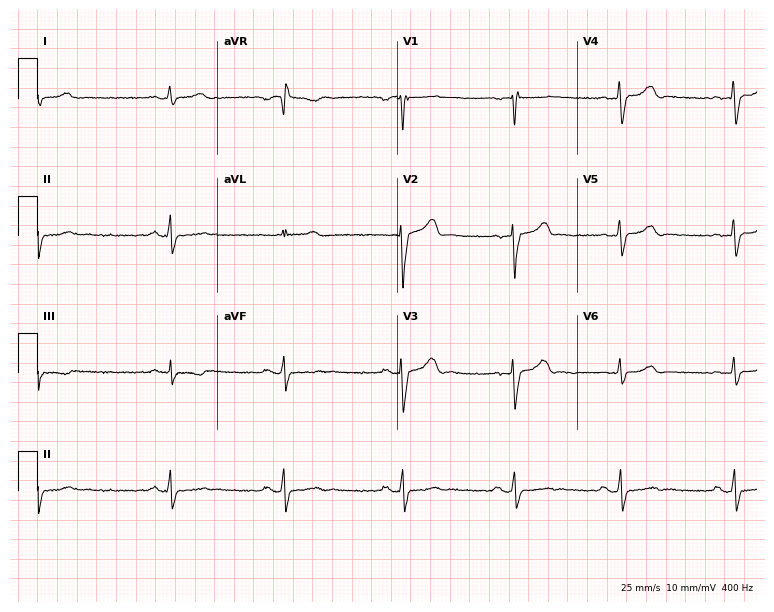
ECG (7.3-second recording at 400 Hz) — a female, 31 years old. Screened for six findings — first-degree AV block, right bundle branch block, left bundle branch block, sinus bradycardia, atrial fibrillation, sinus tachycardia — none is recorded. Other findings, if any, are not listed.